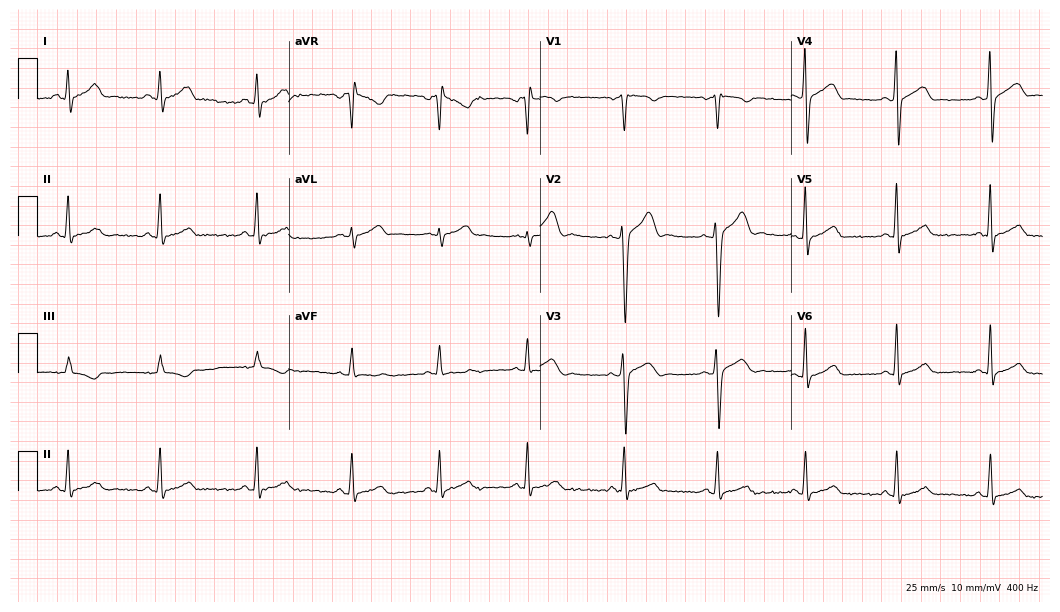
12-lead ECG from a 32-year-old male. Labelled as a normal ECG.